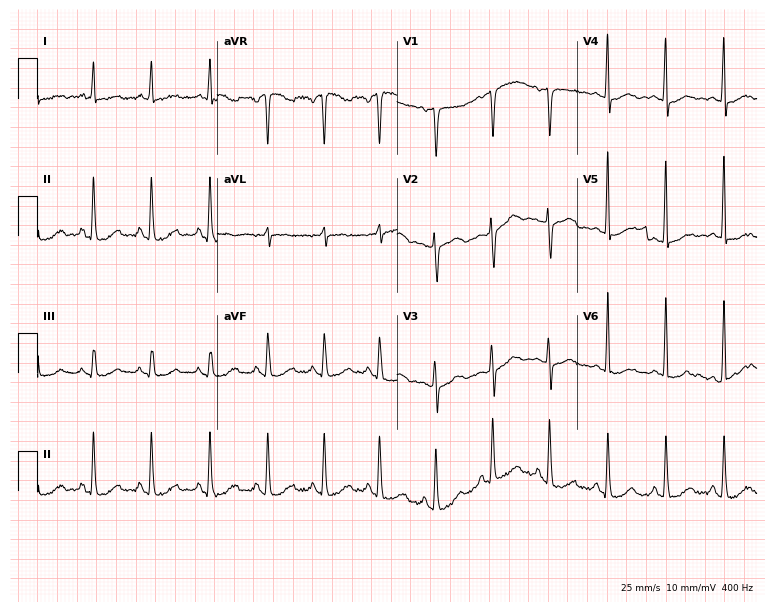
12-lead ECG (7.3-second recording at 400 Hz) from a female, 50 years old. Screened for six findings — first-degree AV block, right bundle branch block, left bundle branch block, sinus bradycardia, atrial fibrillation, sinus tachycardia — none is recorded. Only these six findings were labelled.